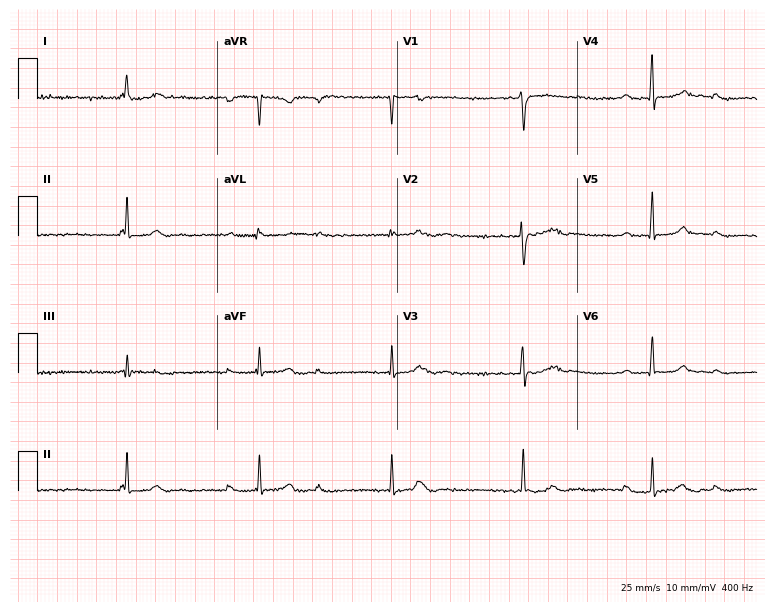
ECG (7.3-second recording at 400 Hz) — a woman, 26 years old. Findings include sinus bradycardia (a sinus rate of 50 beats per minute or less).